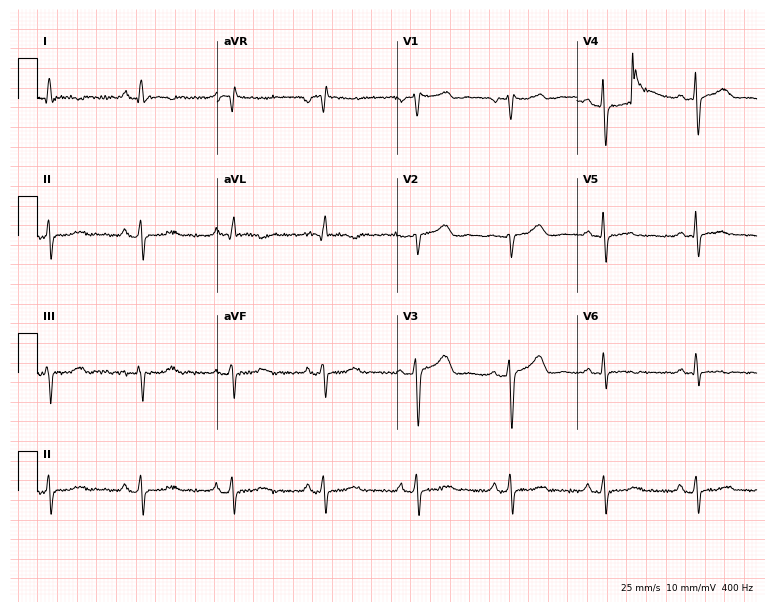
12-lead ECG from a 69-year-old woman. Screened for six findings — first-degree AV block, right bundle branch block, left bundle branch block, sinus bradycardia, atrial fibrillation, sinus tachycardia — none is recorded.